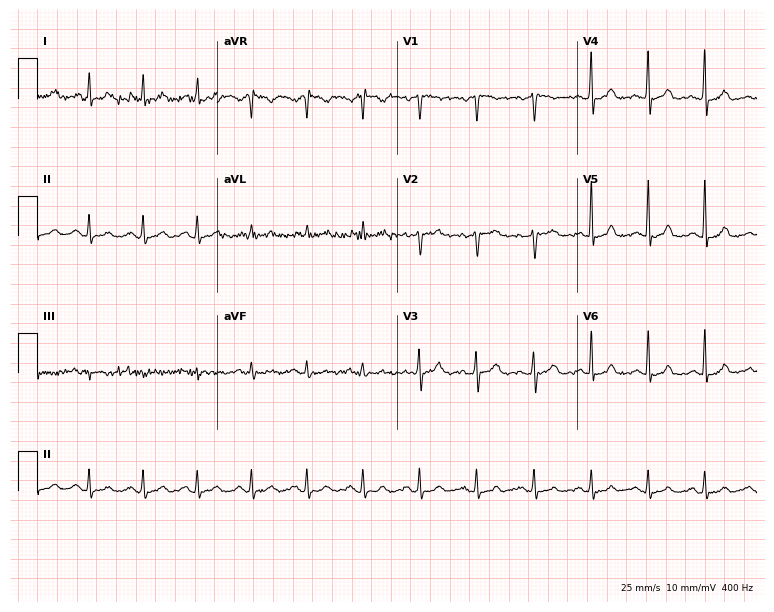
Resting 12-lead electrocardiogram. Patient: a 62-year-old male. The tracing shows sinus tachycardia (a sinus rate of 100 beats per minute or more).